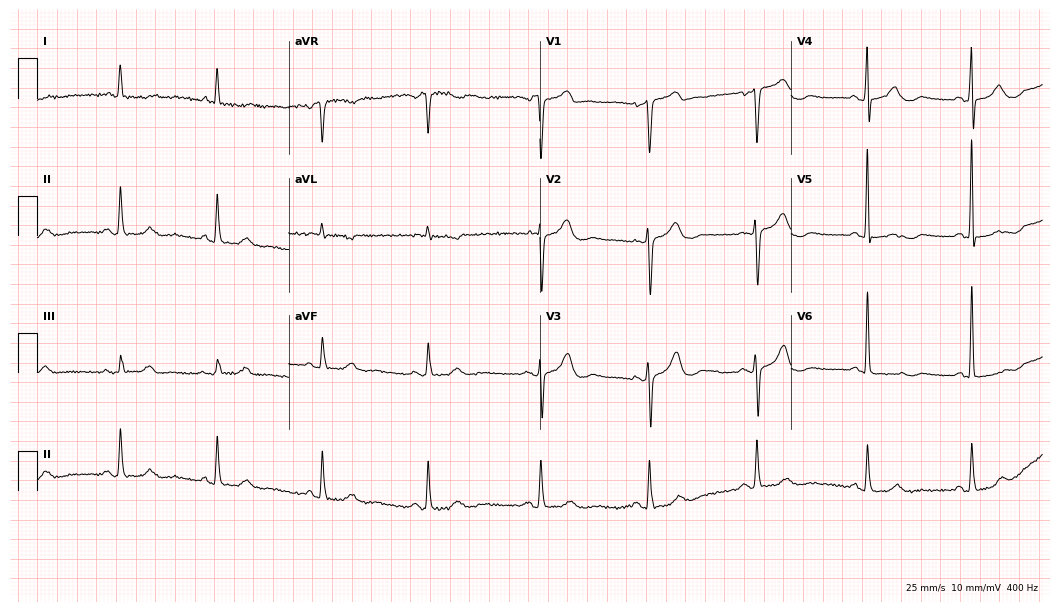
12-lead ECG from a female patient, 69 years old. No first-degree AV block, right bundle branch block, left bundle branch block, sinus bradycardia, atrial fibrillation or sinus tachycardia recorded for this tracing. Only these six findings were labelled.